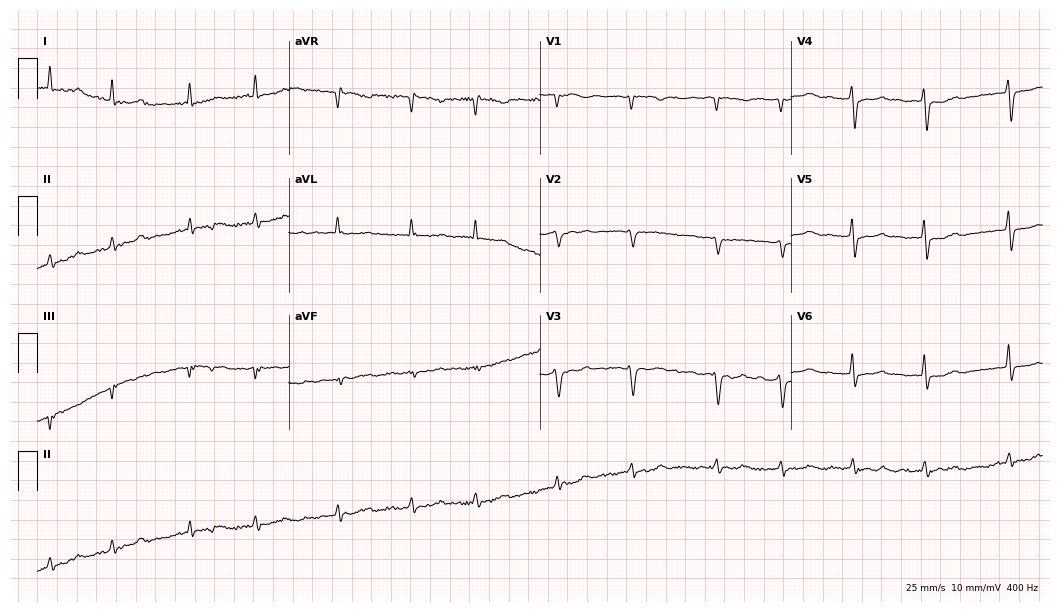
Standard 12-lead ECG recorded from a 75-year-old female patient (10.2-second recording at 400 Hz). None of these six findings is recorded: first-degree AV block, right bundle branch block (RBBB), left bundle branch block (LBBB), sinus bradycardia, atrial fibrillation (AF), sinus tachycardia. Other findings, if any, are not listed.